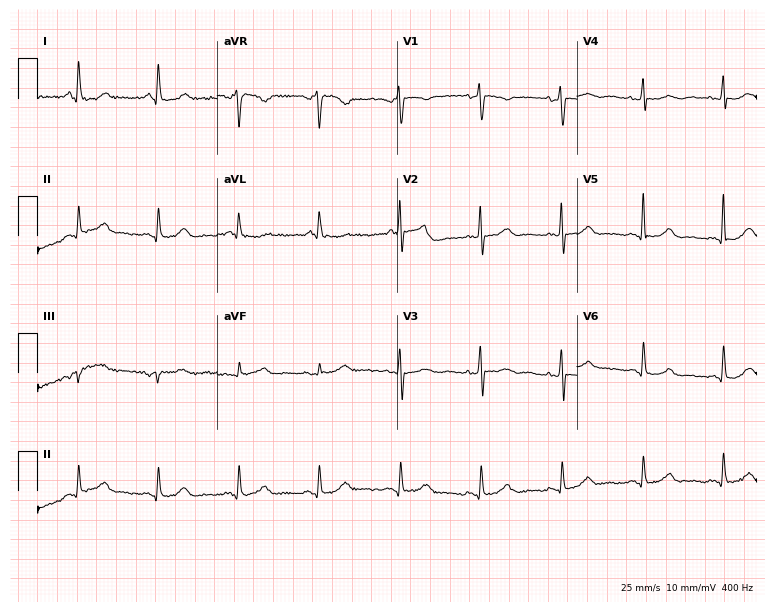
ECG — a 74-year-old female. Screened for six findings — first-degree AV block, right bundle branch block (RBBB), left bundle branch block (LBBB), sinus bradycardia, atrial fibrillation (AF), sinus tachycardia — none is recorded.